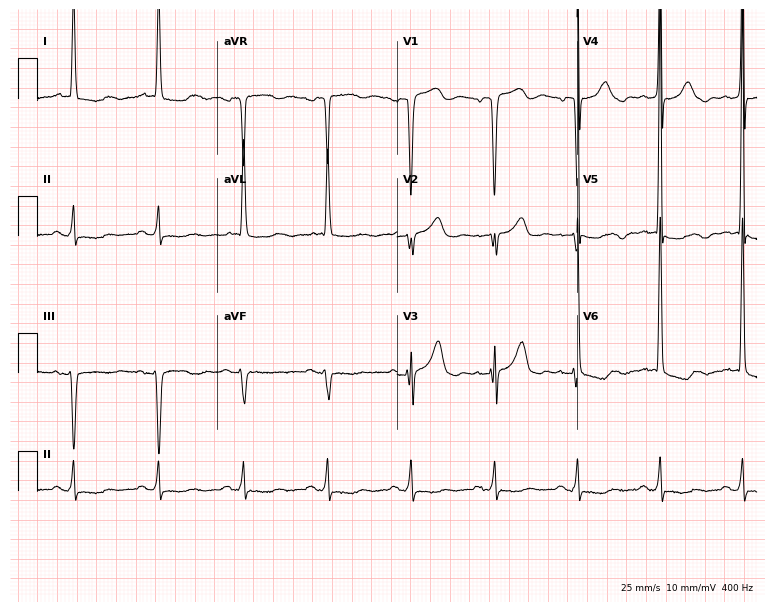
ECG (7.3-second recording at 400 Hz) — a male, 81 years old. Screened for six findings — first-degree AV block, right bundle branch block (RBBB), left bundle branch block (LBBB), sinus bradycardia, atrial fibrillation (AF), sinus tachycardia — none is recorded.